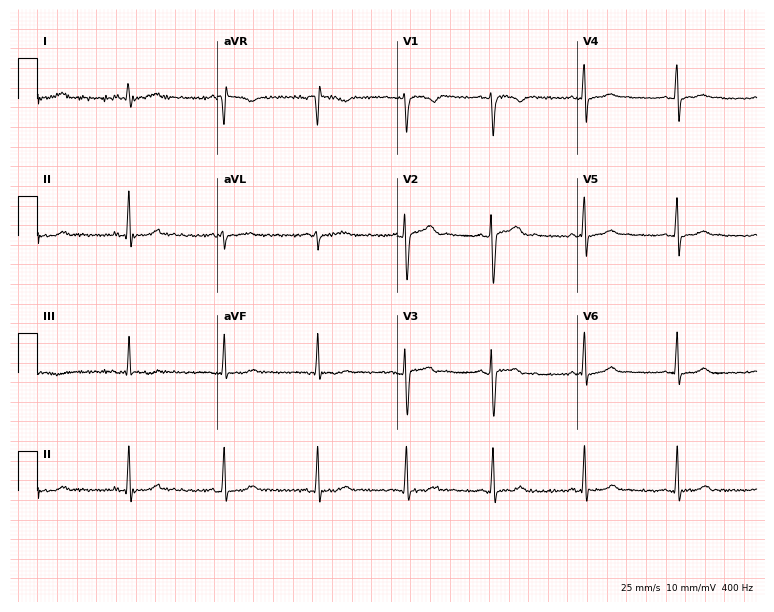
Standard 12-lead ECG recorded from a 23-year-old female. None of these six findings is recorded: first-degree AV block, right bundle branch block (RBBB), left bundle branch block (LBBB), sinus bradycardia, atrial fibrillation (AF), sinus tachycardia.